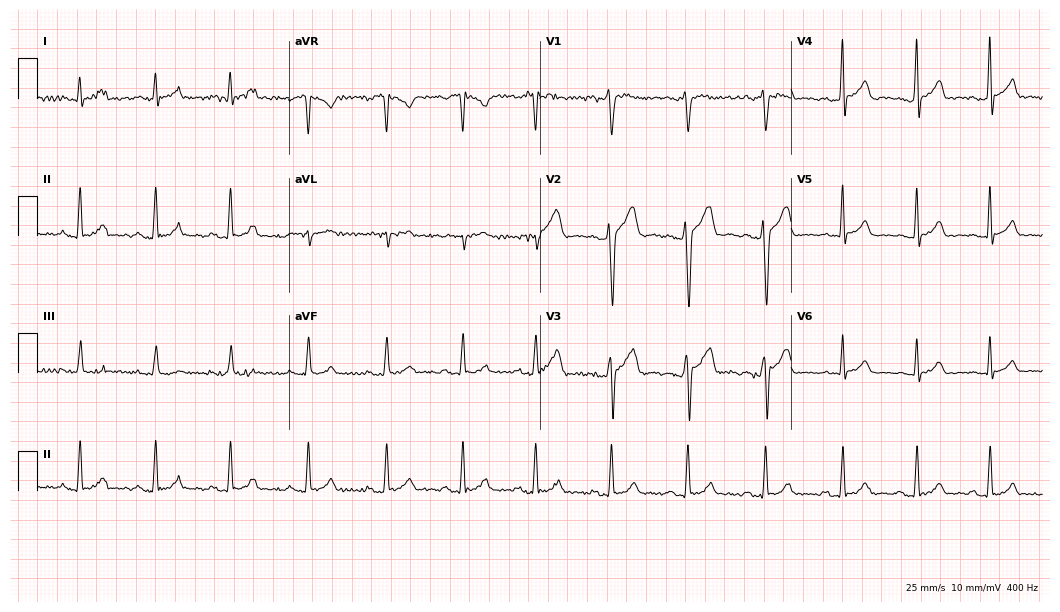
ECG — a man, 36 years old. Labelled as a normal ECG.